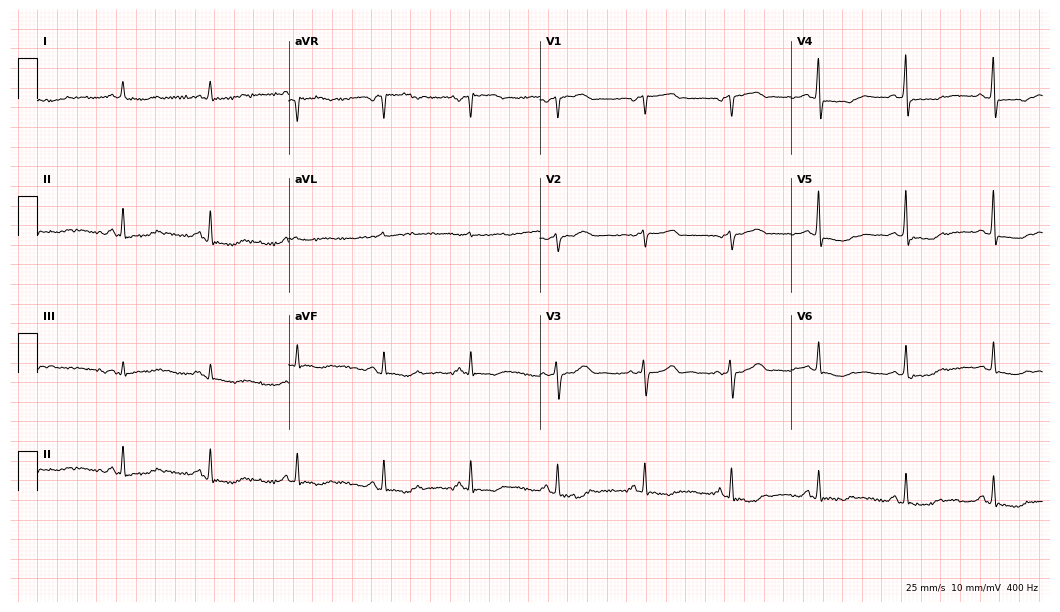
12-lead ECG from a 61-year-old woman. Screened for six findings — first-degree AV block, right bundle branch block (RBBB), left bundle branch block (LBBB), sinus bradycardia, atrial fibrillation (AF), sinus tachycardia — none is recorded. Findings outside these six are not listed.